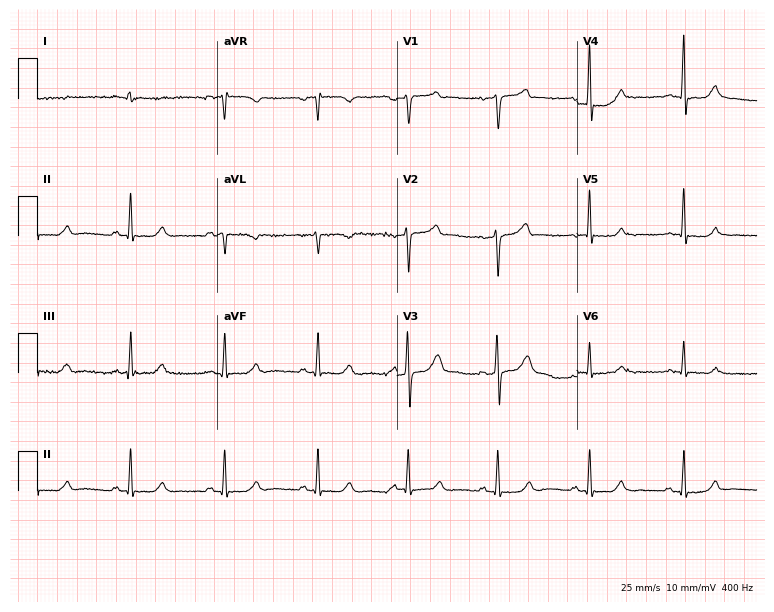
Standard 12-lead ECG recorded from a 46-year-old man (7.3-second recording at 400 Hz). Read as a normal ECG.